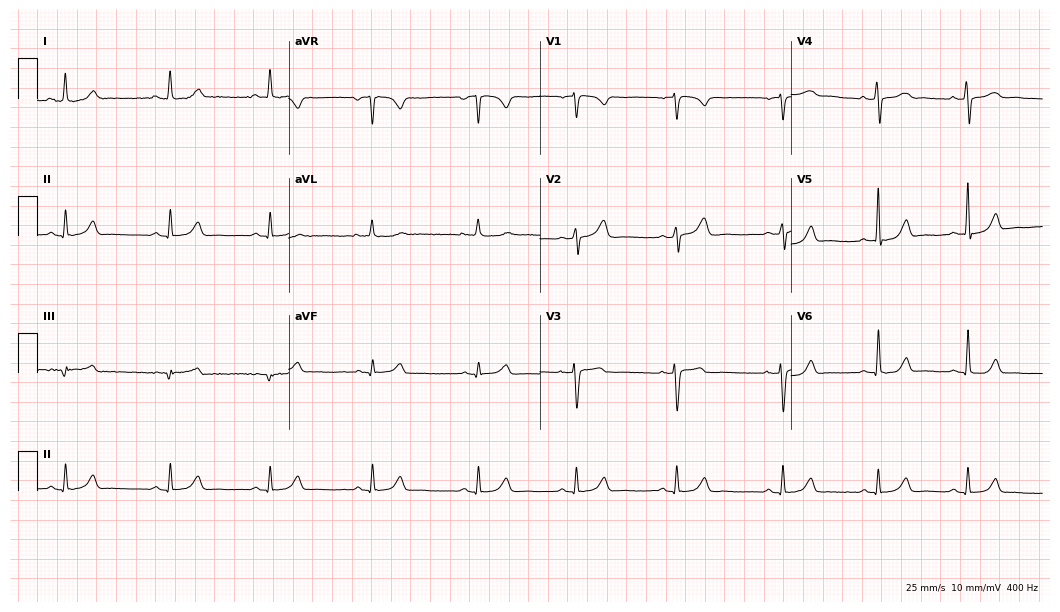
Standard 12-lead ECG recorded from a female, 36 years old. Read as a normal ECG.